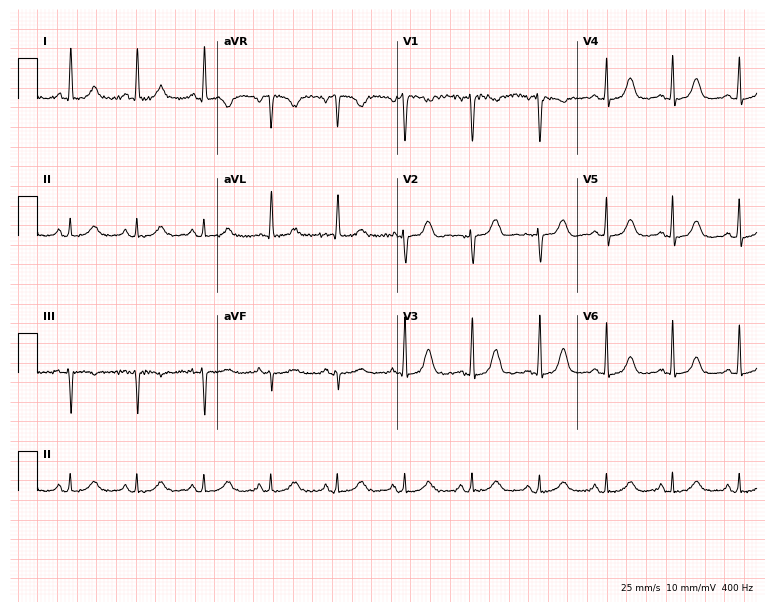
12-lead ECG (7.3-second recording at 400 Hz) from a female patient, 82 years old. Screened for six findings — first-degree AV block, right bundle branch block, left bundle branch block, sinus bradycardia, atrial fibrillation, sinus tachycardia — none is recorded. Other findings, if any, are not listed.